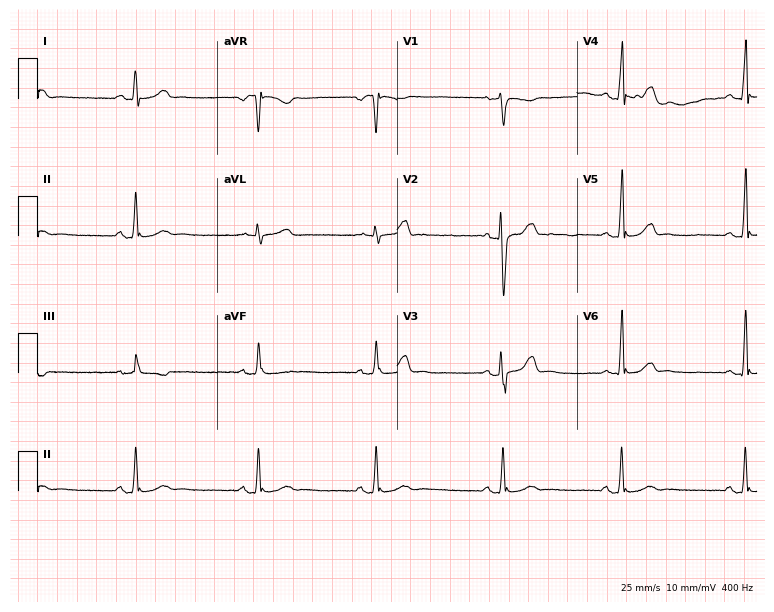
Electrocardiogram (7.3-second recording at 400 Hz), a 30-year-old male. Interpretation includes sinus bradycardia (a sinus rate of 50 beats per minute or less).